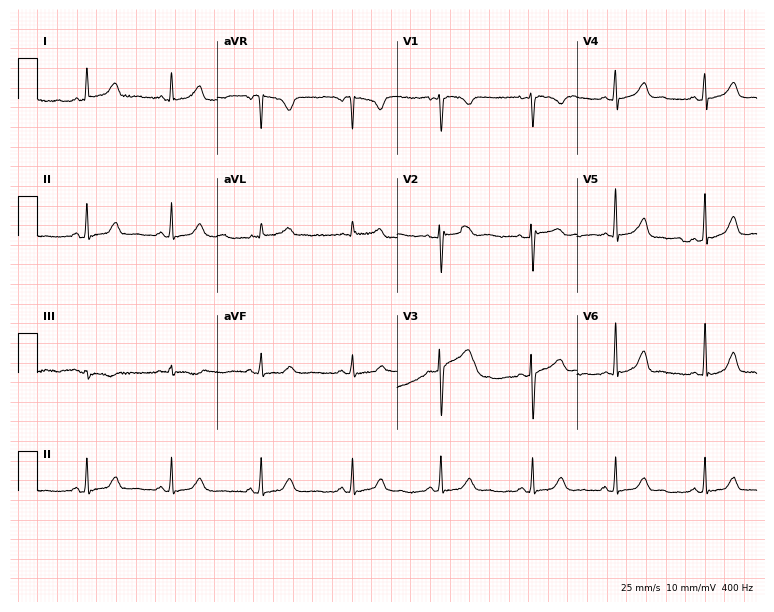
ECG (7.3-second recording at 400 Hz) — a 28-year-old female patient. Labelled as a normal ECG.